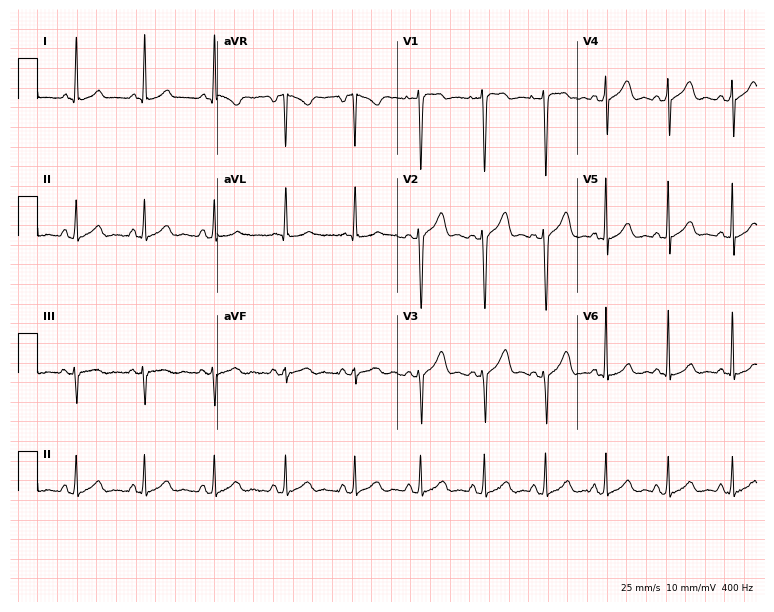
Standard 12-lead ECG recorded from a 23-year-old female (7.3-second recording at 400 Hz). None of these six findings is recorded: first-degree AV block, right bundle branch block, left bundle branch block, sinus bradycardia, atrial fibrillation, sinus tachycardia.